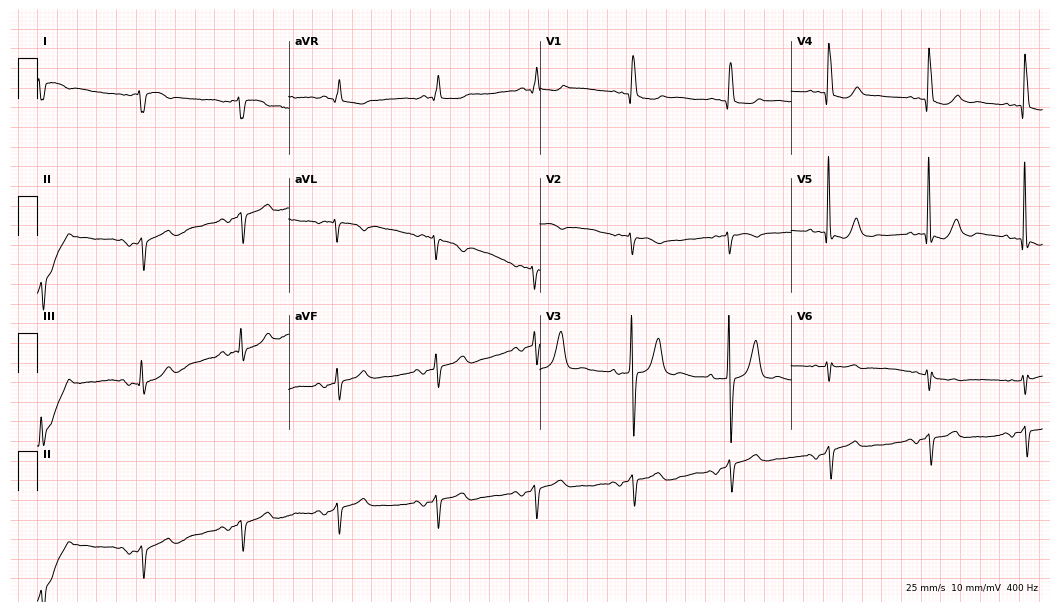
12-lead ECG from a woman, 76 years old. Recorded interpretation: within normal limits.